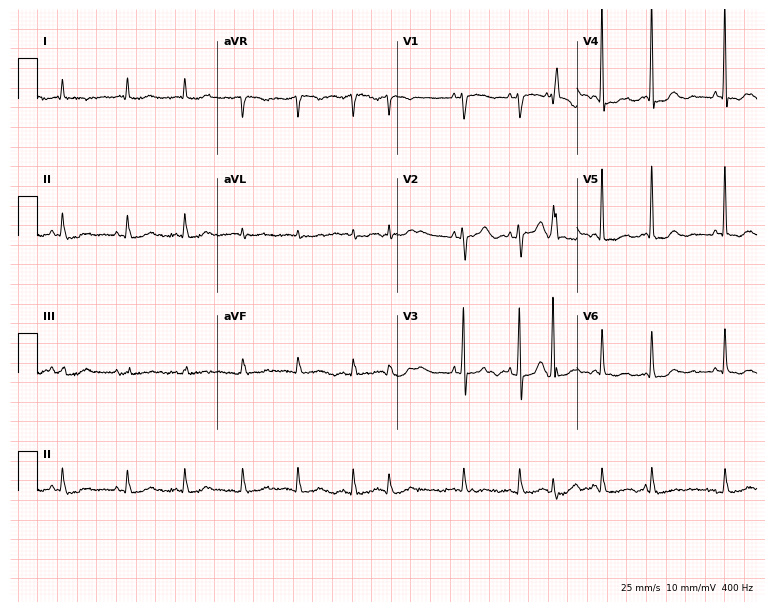
ECG — a woman, 74 years old. Screened for six findings — first-degree AV block, right bundle branch block, left bundle branch block, sinus bradycardia, atrial fibrillation, sinus tachycardia — none is recorded.